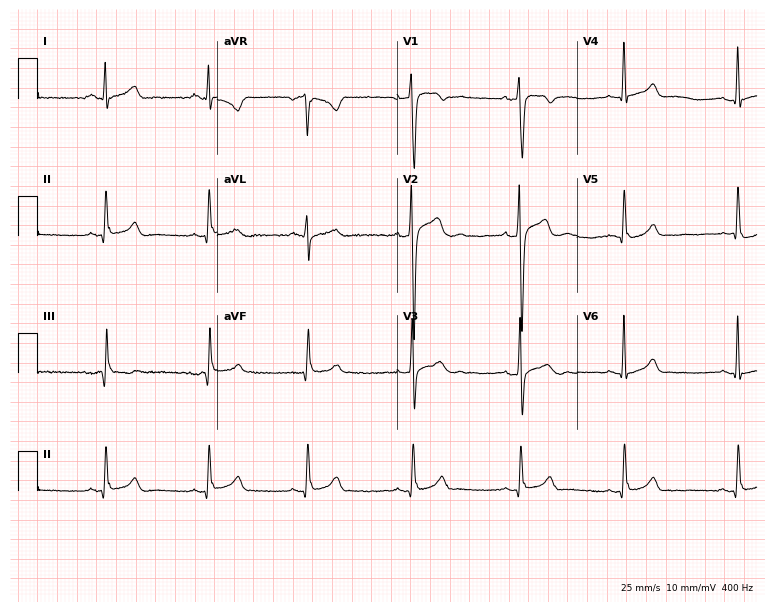
Electrocardiogram, a 21-year-old male. Overall reading on record: normal ECG.